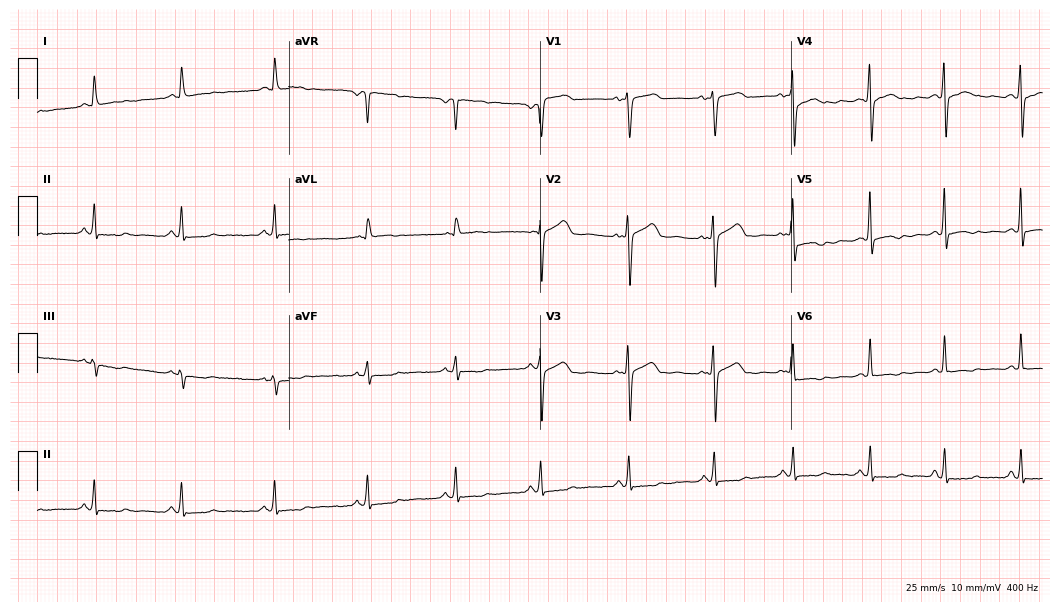
Electrocardiogram, a 56-year-old woman. Of the six screened findings (first-degree AV block, right bundle branch block, left bundle branch block, sinus bradycardia, atrial fibrillation, sinus tachycardia), none is recorded. Other findings, if any, are not listed.